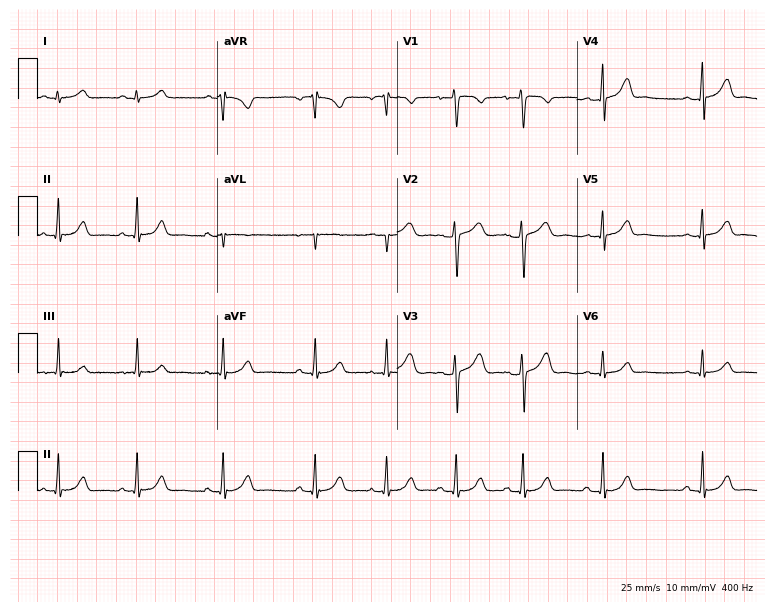
12-lead ECG from a woman, 17 years old. Recorded interpretation: within normal limits.